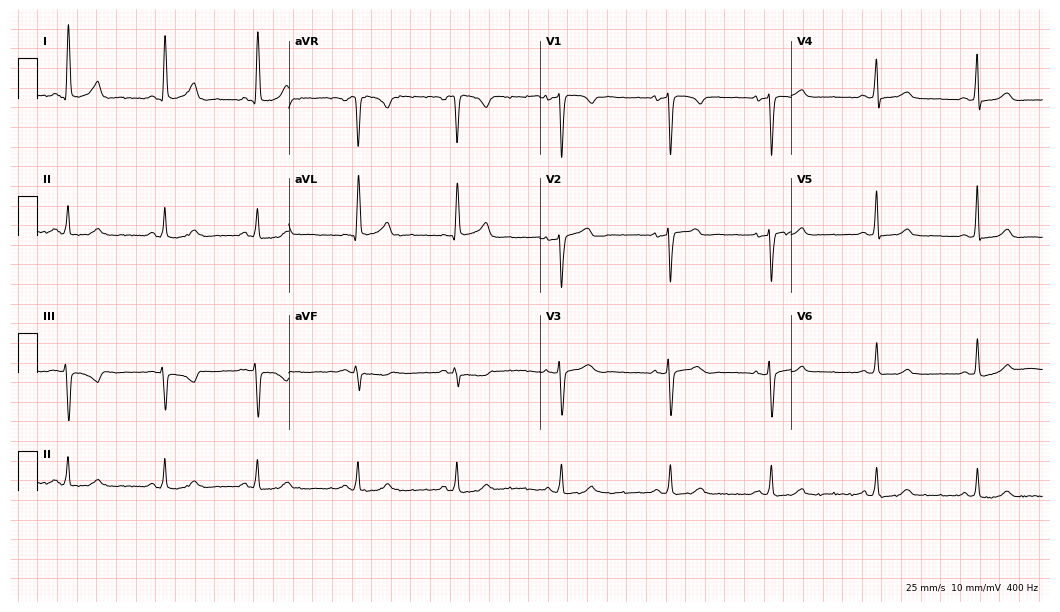
ECG — a female patient, 48 years old. Labelled as a normal ECG.